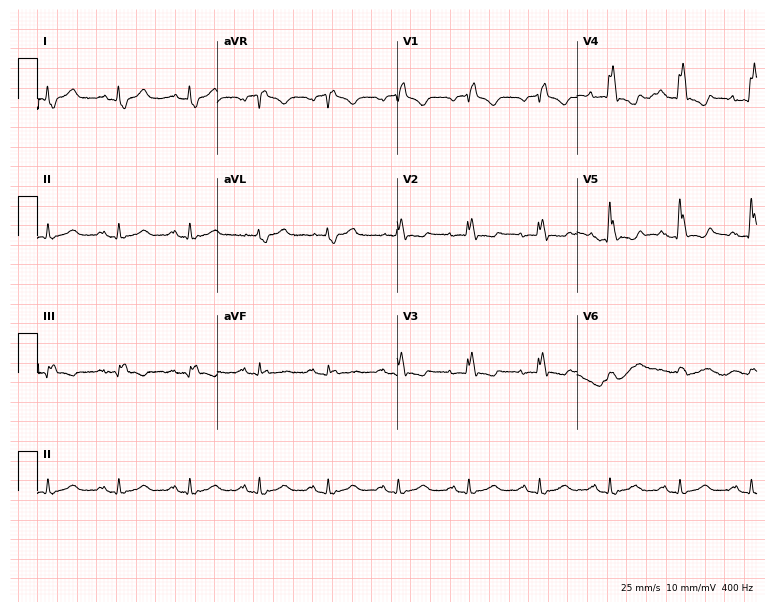
Resting 12-lead electrocardiogram. Patient: an 84-year-old male. The tracing shows right bundle branch block.